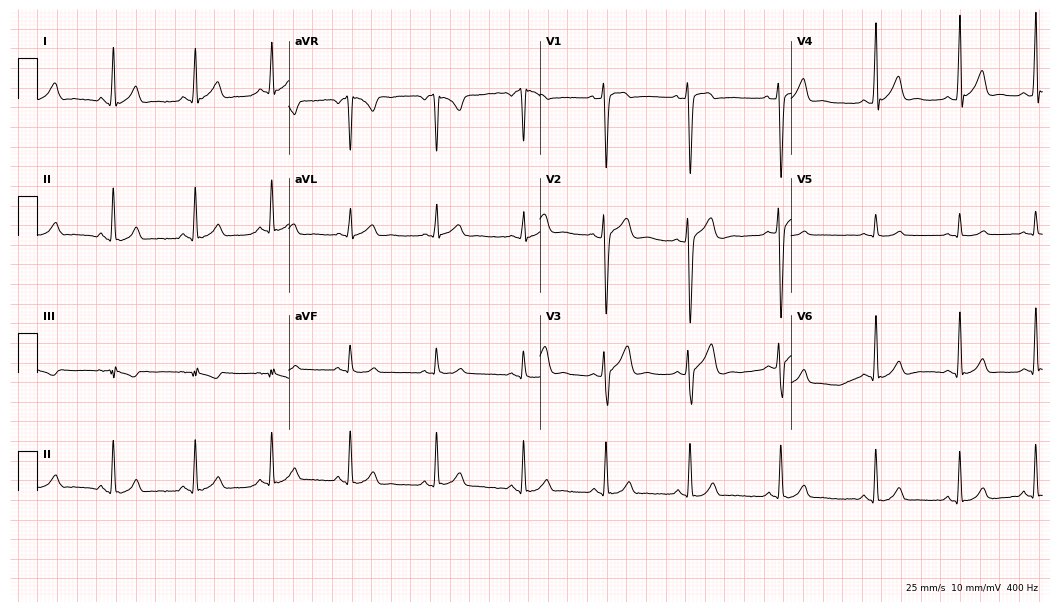
Electrocardiogram, a male, 24 years old. Overall reading on record: normal ECG.